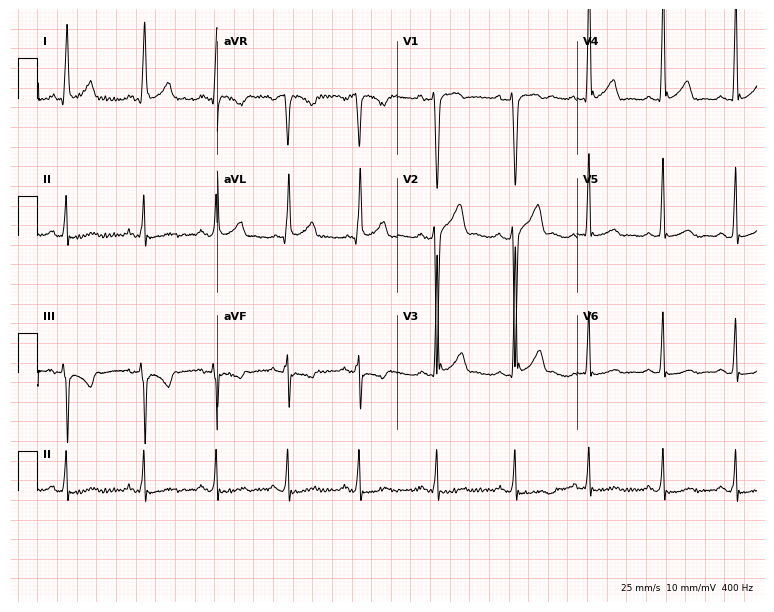
12-lead ECG from a 64-year-old male. Labelled as a normal ECG.